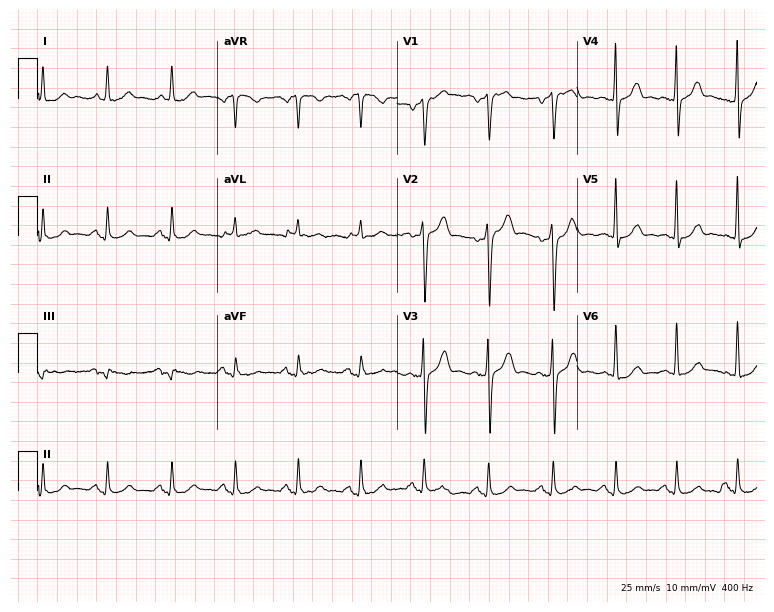
12-lead ECG from a male patient, 71 years old. Labelled as a normal ECG.